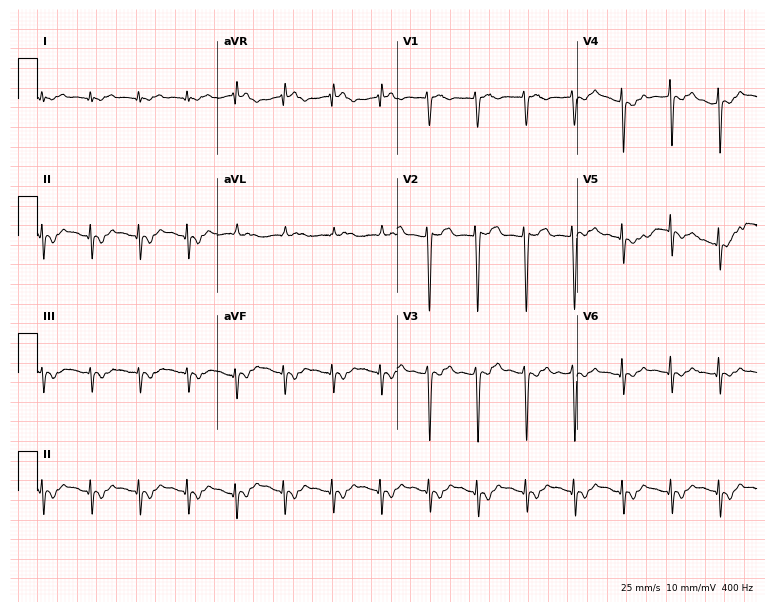
Standard 12-lead ECG recorded from an 18-year-old woman (7.3-second recording at 400 Hz). The tracing shows sinus tachycardia (a sinus rate of 100 beats per minute or more).